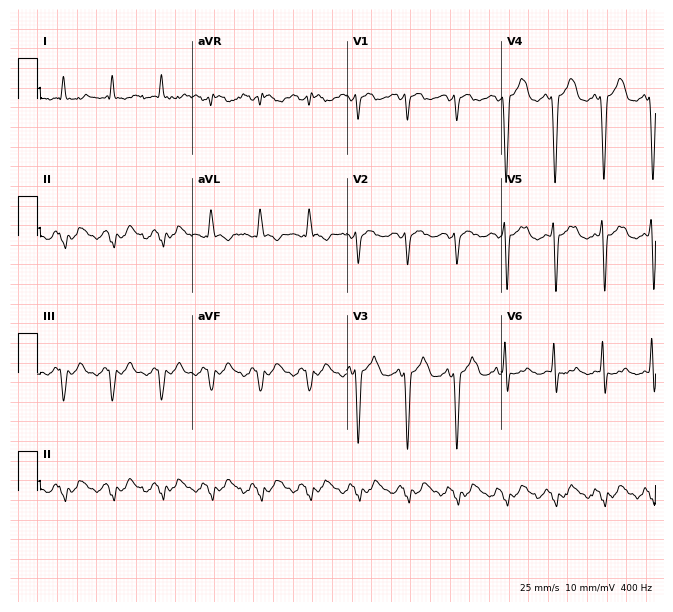
12-lead ECG from a 78-year-old man (6.3-second recording at 400 Hz). No first-degree AV block, right bundle branch block, left bundle branch block, sinus bradycardia, atrial fibrillation or sinus tachycardia recorded for this tracing.